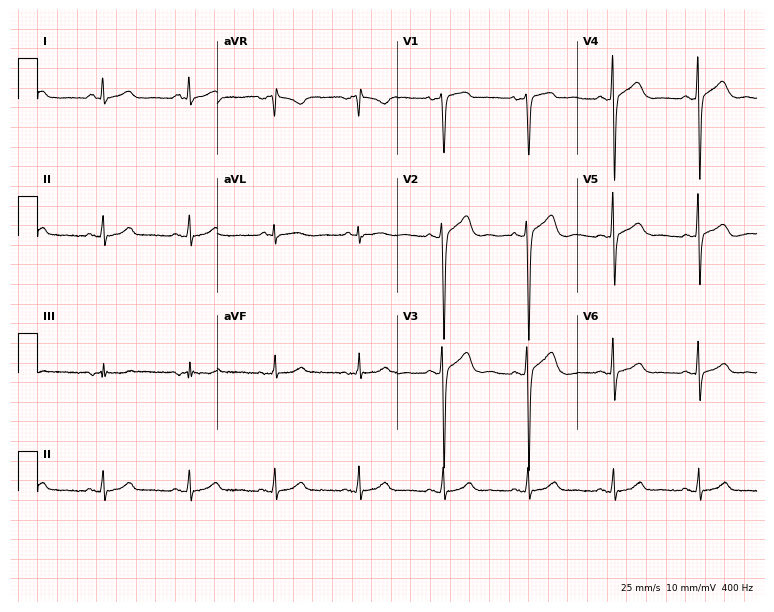
Resting 12-lead electrocardiogram. Patient: a 53-year-old male. Read as a normal ECG.